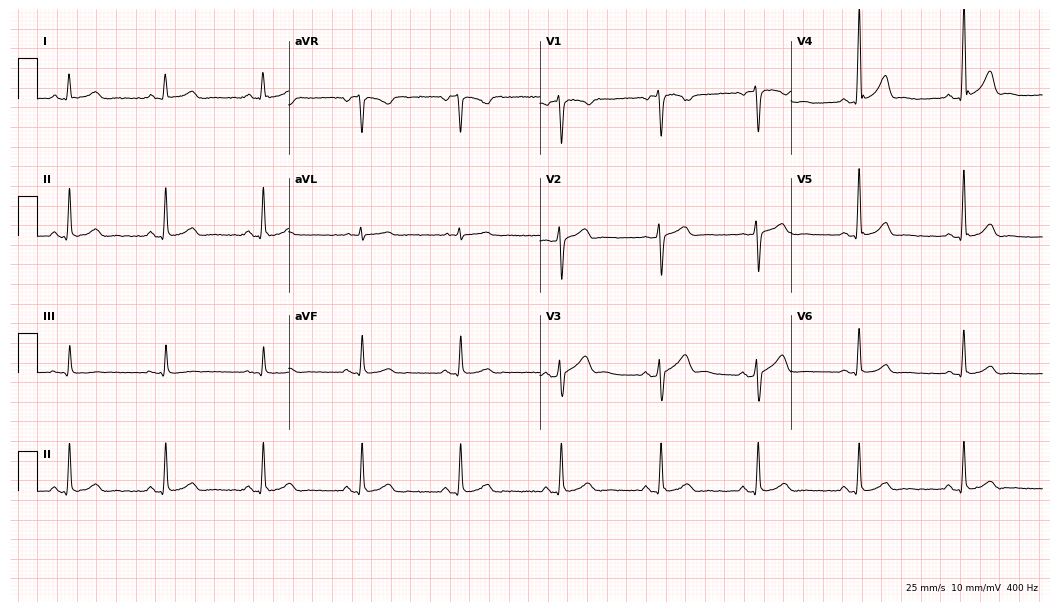
12-lead ECG from a man, 45 years old (10.2-second recording at 400 Hz). Recorded interpretation: within normal limits.